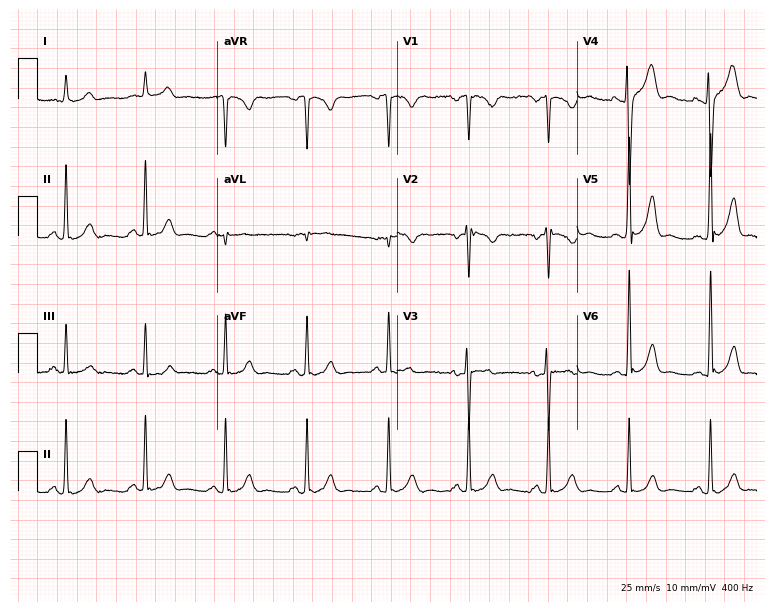
Standard 12-lead ECG recorded from a 31-year-old male (7.3-second recording at 400 Hz). None of these six findings is recorded: first-degree AV block, right bundle branch block, left bundle branch block, sinus bradycardia, atrial fibrillation, sinus tachycardia. Findings outside these six are not listed.